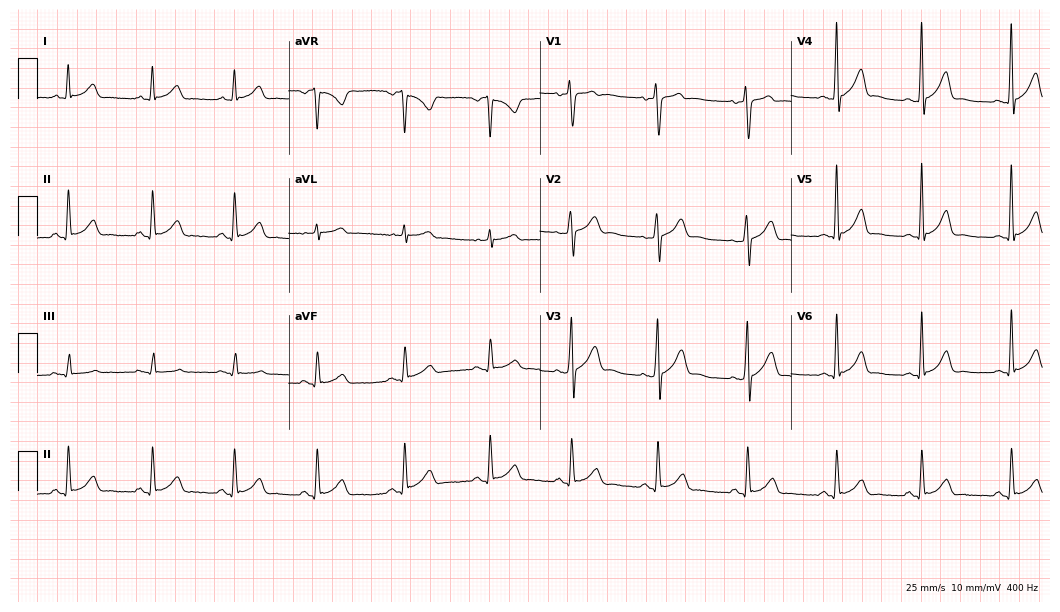
12-lead ECG from a male, 31 years old (10.2-second recording at 400 Hz). Recorded interpretation: within normal limits.